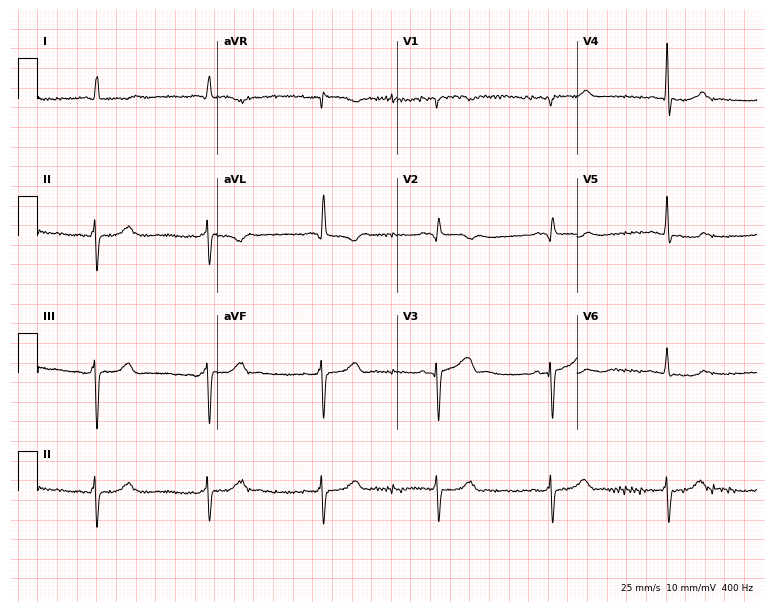
Electrocardiogram (7.3-second recording at 400 Hz), a 75-year-old male. Of the six screened findings (first-degree AV block, right bundle branch block, left bundle branch block, sinus bradycardia, atrial fibrillation, sinus tachycardia), none is recorded. Findings outside these six are not listed.